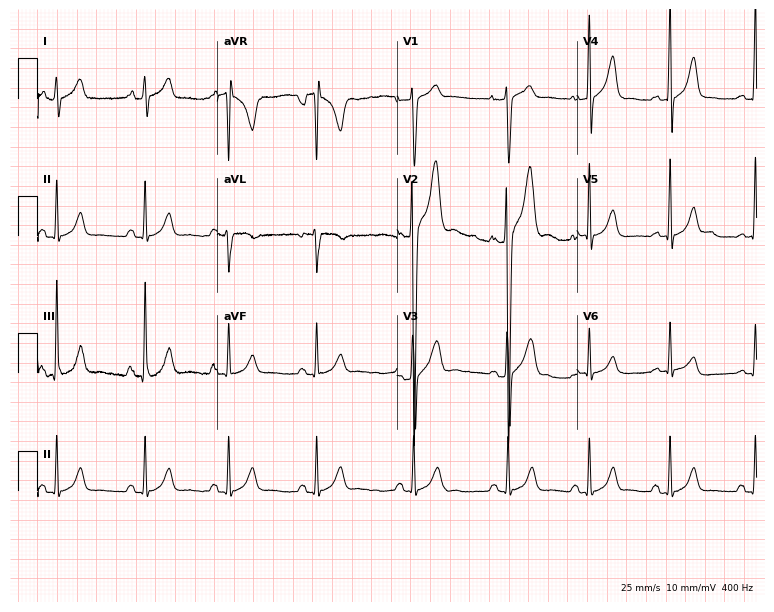
12-lead ECG from a 19-year-old man (7.3-second recording at 400 Hz). No first-degree AV block, right bundle branch block, left bundle branch block, sinus bradycardia, atrial fibrillation or sinus tachycardia recorded for this tracing.